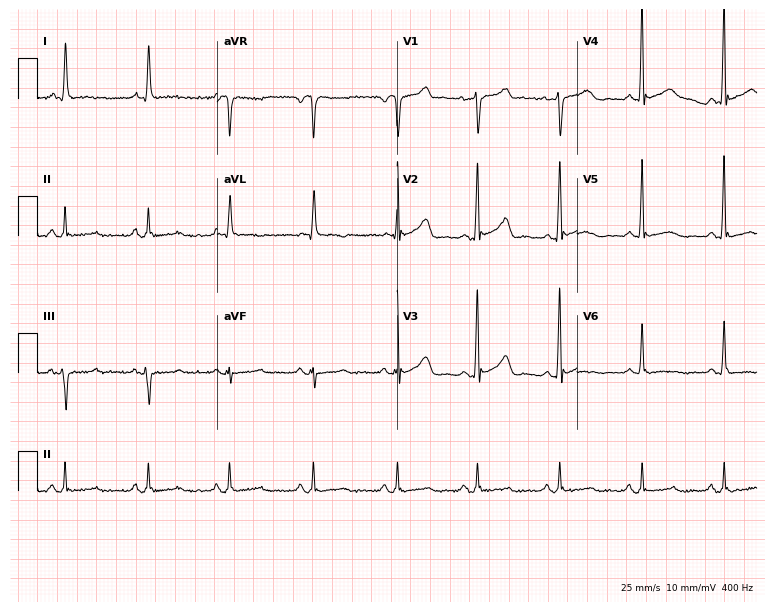
Electrocardiogram (7.3-second recording at 400 Hz), a female patient, 66 years old. Of the six screened findings (first-degree AV block, right bundle branch block (RBBB), left bundle branch block (LBBB), sinus bradycardia, atrial fibrillation (AF), sinus tachycardia), none is recorded. Other findings, if any, are not listed.